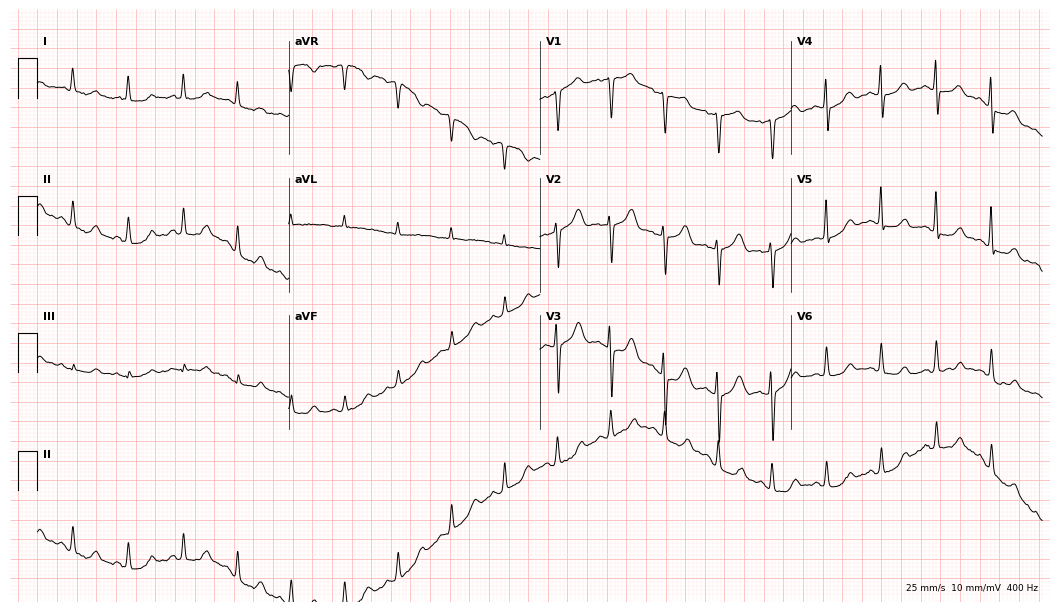
ECG — a 77-year-old female patient. Findings include sinus tachycardia (a sinus rate of 100 beats per minute or more).